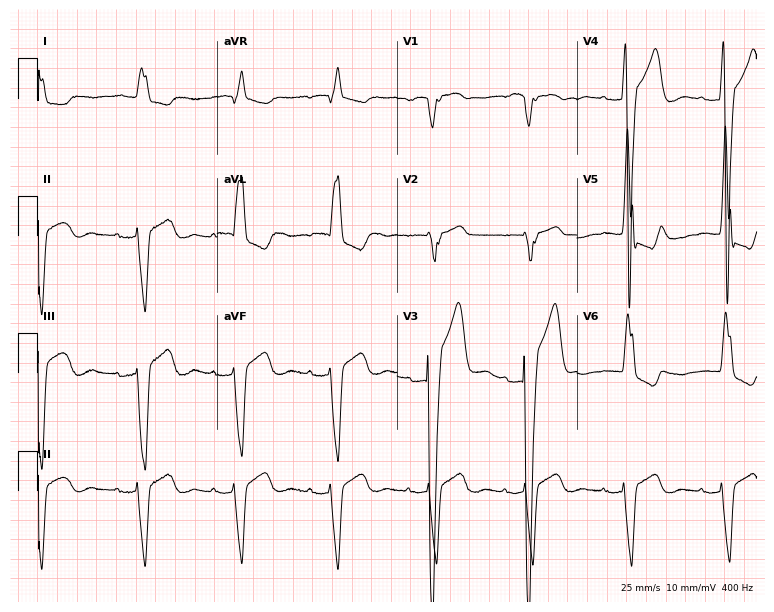
12-lead ECG (7.3-second recording at 400 Hz) from an 84-year-old female patient. Findings include first-degree AV block, left bundle branch block.